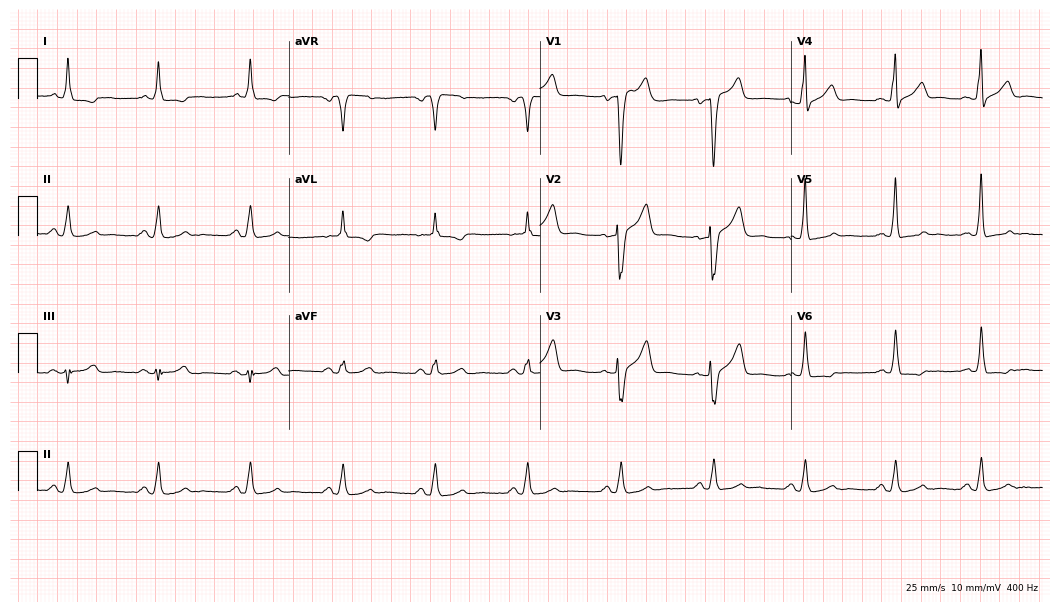
ECG — a male patient, 64 years old. Screened for six findings — first-degree AV block, right bundle branch block, left bundle branch block, sinus bradycardia, atrial fibrillation, sinus tachycardia — none is recorded.